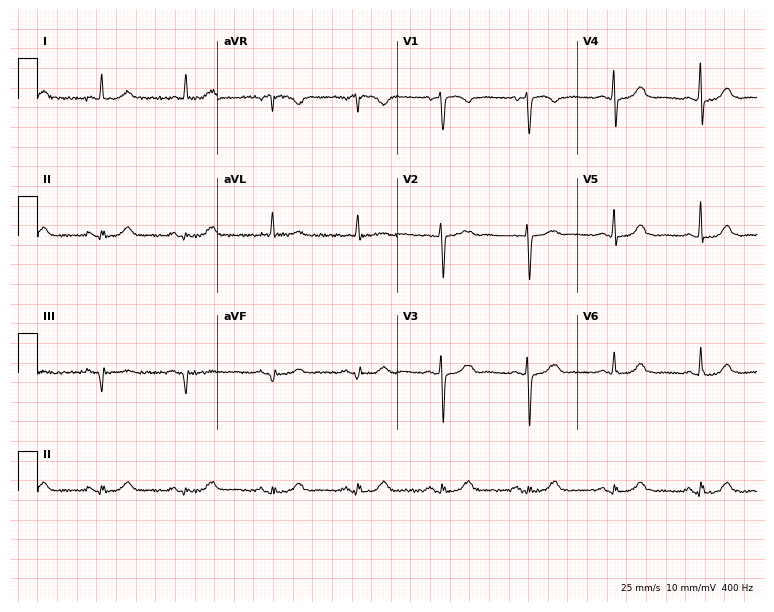
ECG (7.3-second recording at 400 Hz) — a female patient, 75 years old. Screened for six findings — first-degree AV block, right bundle branch block (RBBB), left bundle branch block (LBBB), sinus bradycardia, atrial fibrillation (AF), sinus tachycardia — none is recorded.